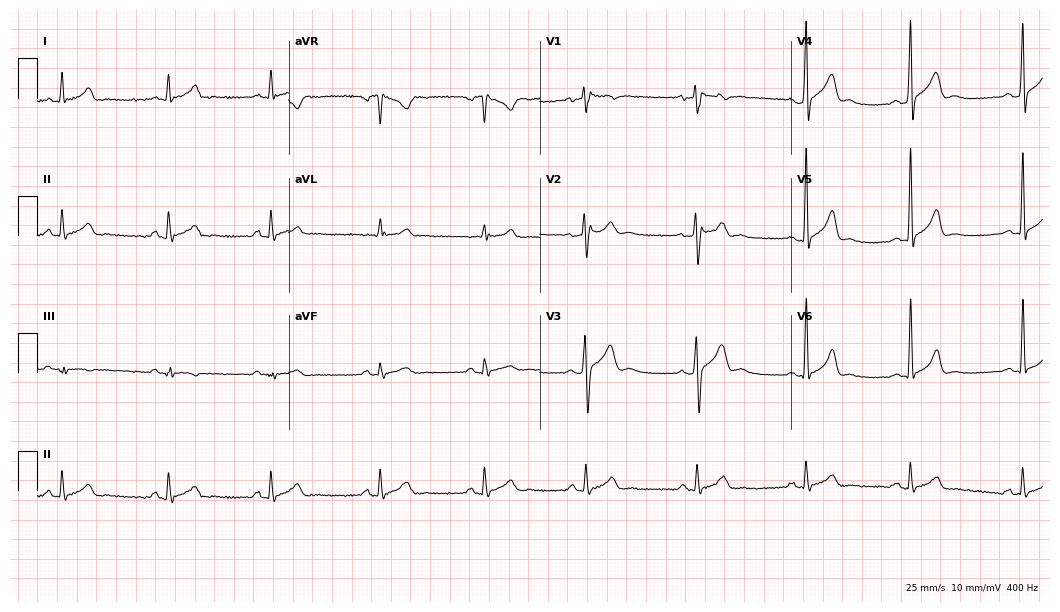
Resting 12-lead electrocardiogram (10.2-second recording at 400 Hz). Patient: a 33-year-old man. Read as a normal ECG.